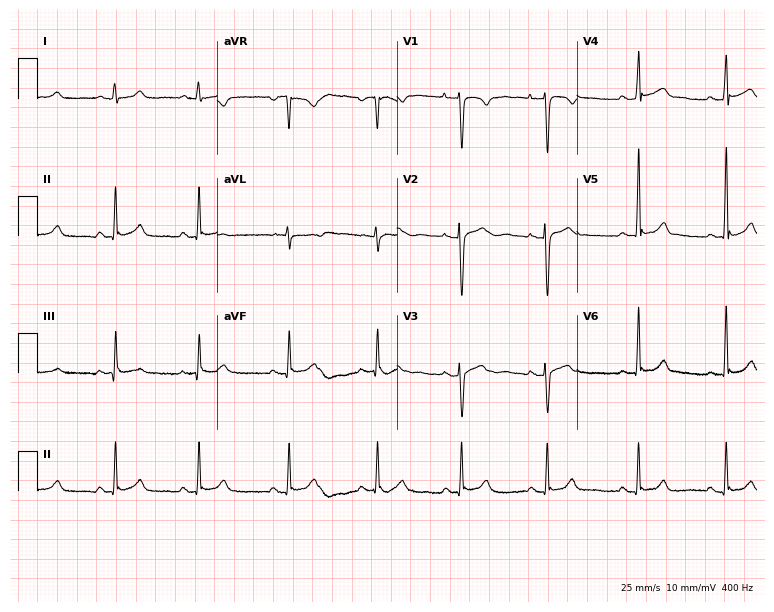
Resting 12-lead electrocardiogram. Patient: a 28-year-old female. Read as a normal ECG.